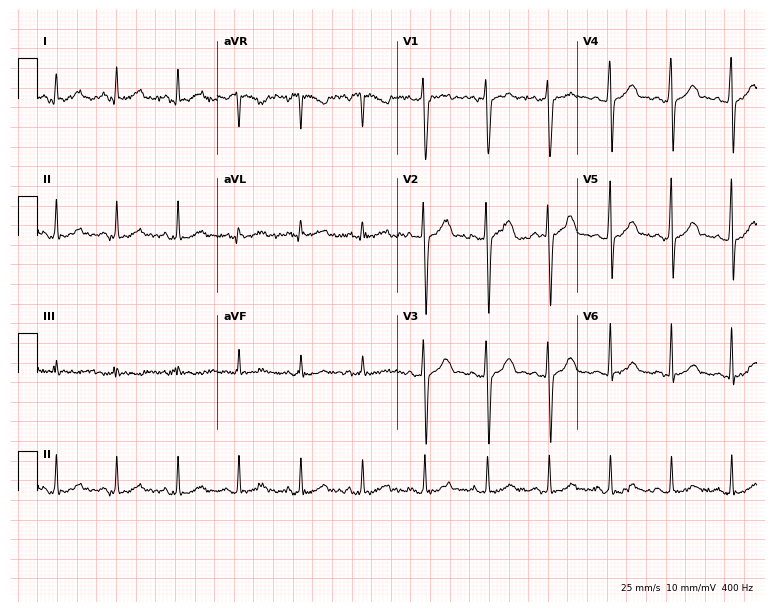
12-lead ECG from a male, 19 years old. Recorded interpretation: within normal limits.